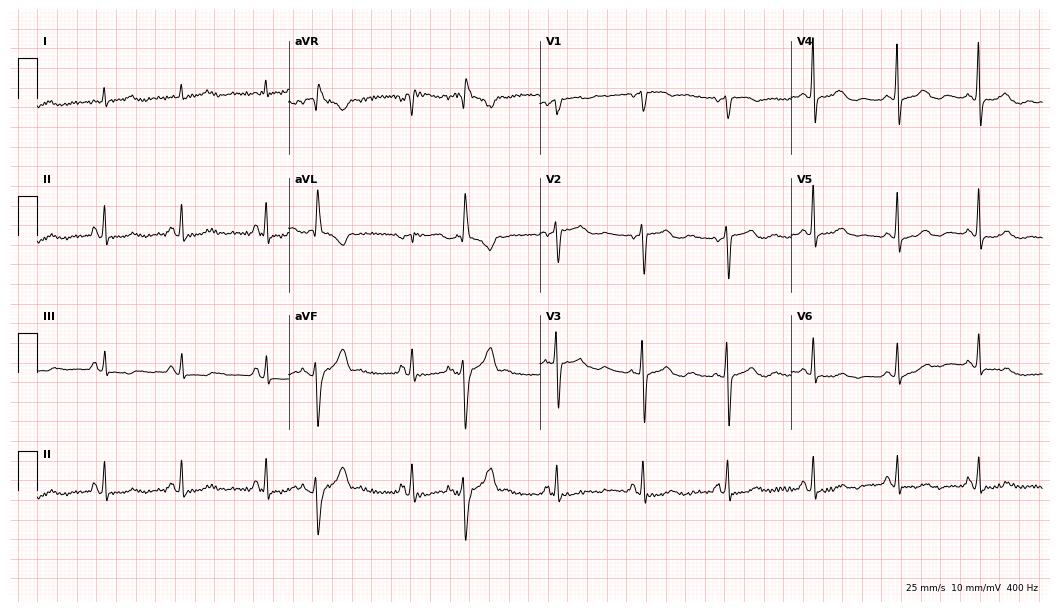
Resting 12-lead electrocardiogram. Patient: a female, 77 years old. Read as a normal ECG.